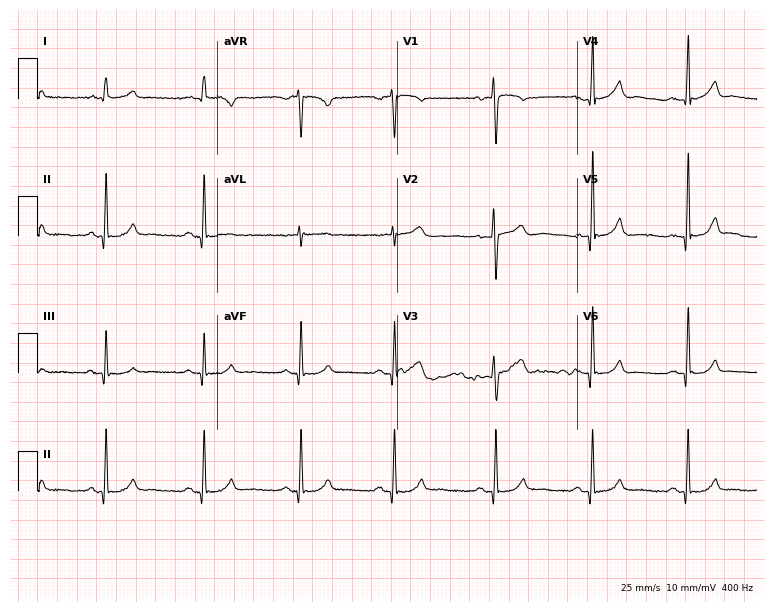
Resting 12-lead electrocardiogram. Patient: a female, 33 years old. Read as a normal ECG.